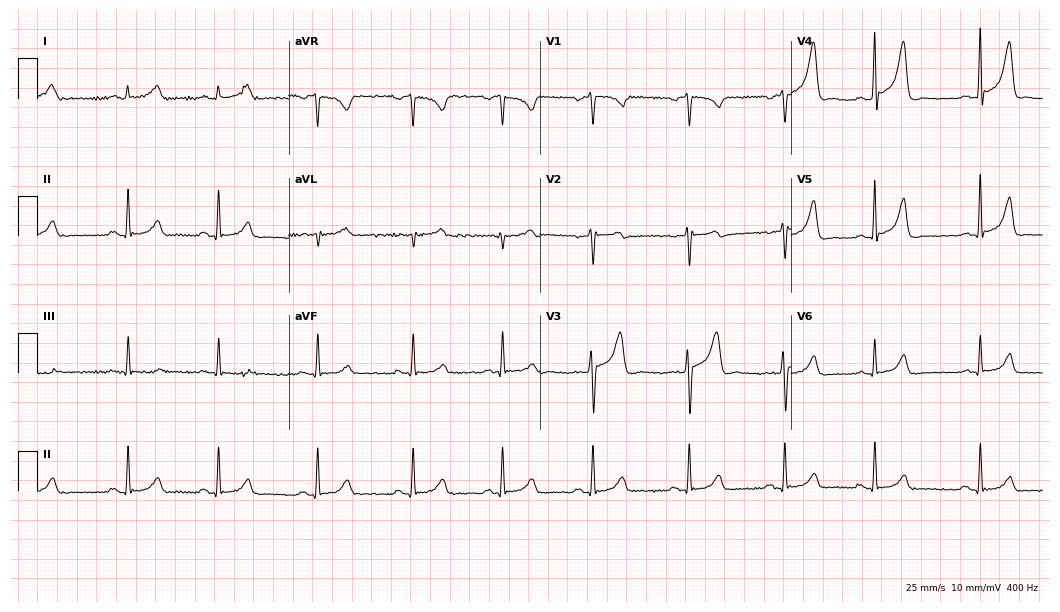
Standard 12-lead ECG recorded from a male, 31 years old (10.2-second recording at 400 Hz). Read as a normal ECG.